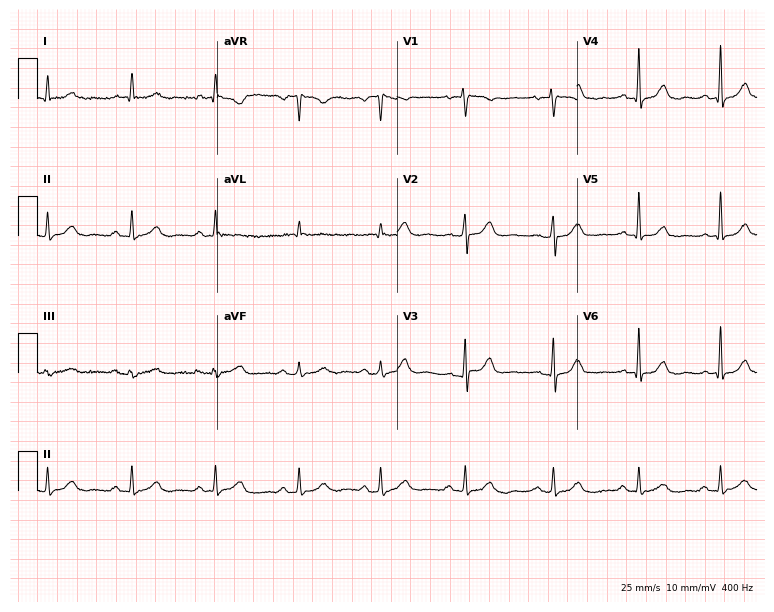
12-lead ECG from a 64-year-old female patient. Labelled as a normal ECG.